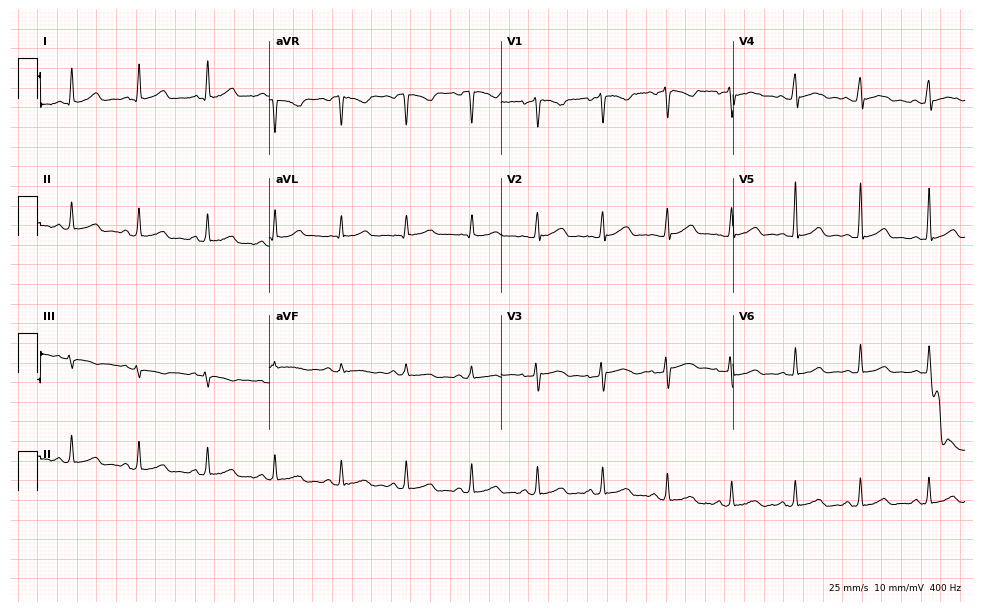
12-lead ECG (9.5-second recording at 400 Hz) from a woman, 39 years old. Labelled as a normal ECG.